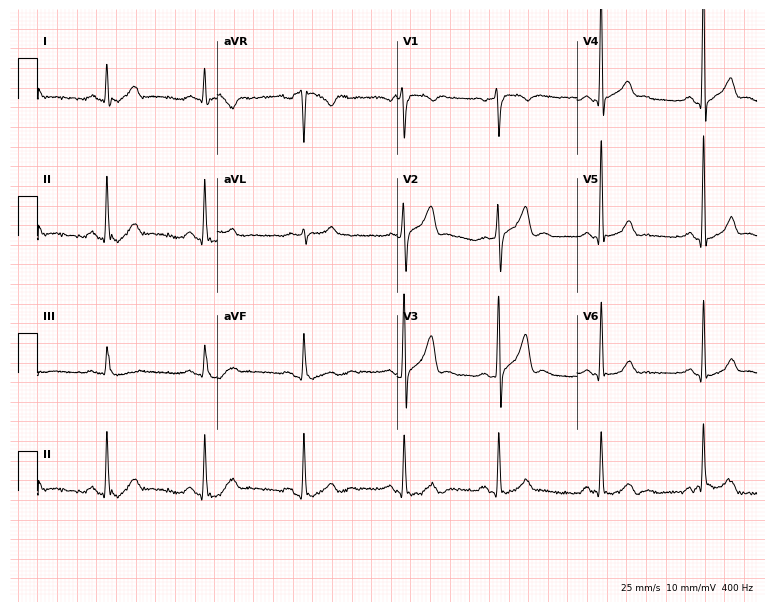
Standard 12-lead ECG recorded from a 45-year-old male patient. None of these six findings is recorded: first-degree AV block, right bundle branch block, left bundle branch block, sinus bradycardia, atrial fibrillation, sinus tachycardia. Other findings, if any, are not listed.